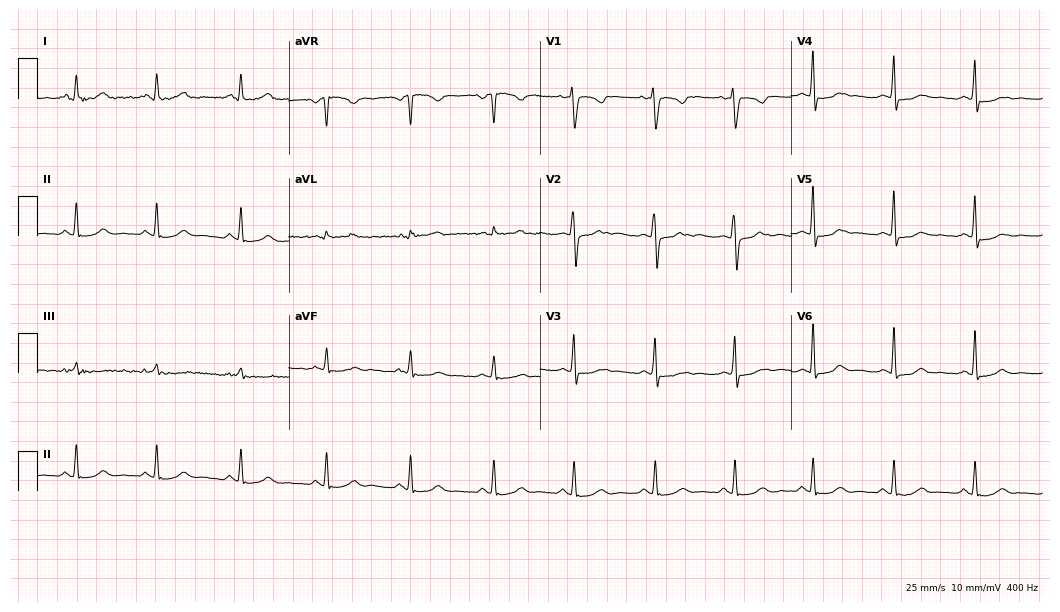
Electrocardiogram, a 44-year-old female patient. Overall reading on record: normal ECG.